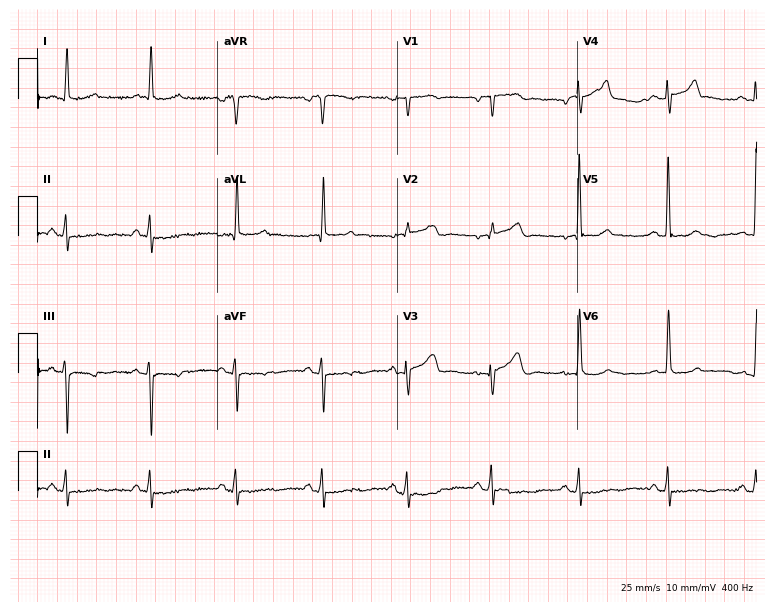
ECG (7.3-second recording at 400 Hz) — a 57-year-old female. Screened for six findings — first-degree AV block, right bundle branch block (RBBB), left bundle branch block (LBBB), sinus bradycardia, atrial fibrillation (AF), sinus tachycardia — none is recorded.